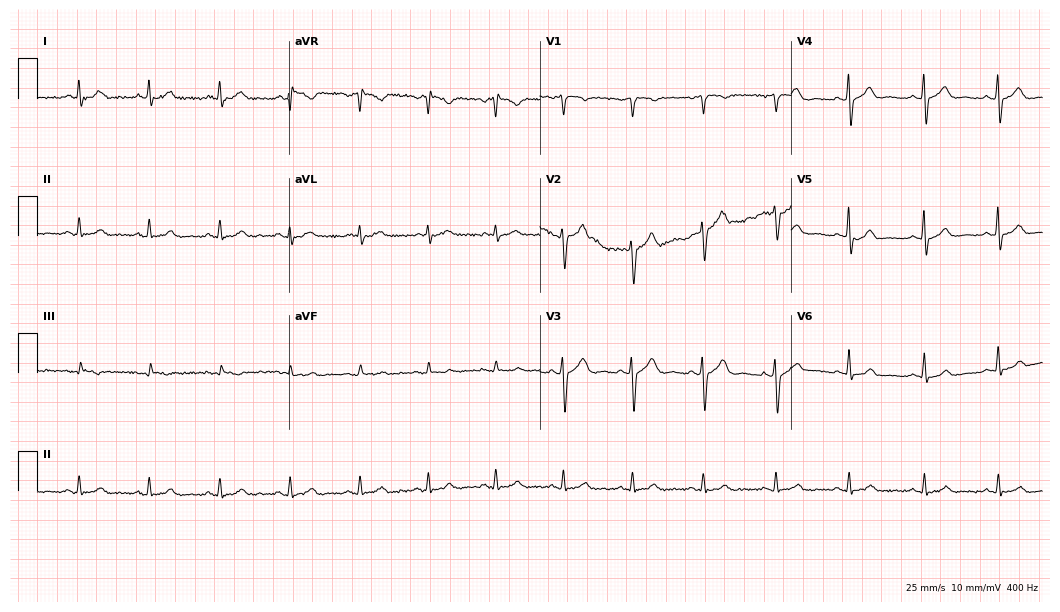
12-lead ECG from a 52-year-old man (10.2-second recording at 400 Hz). Recorded interpretation: within normal limits.